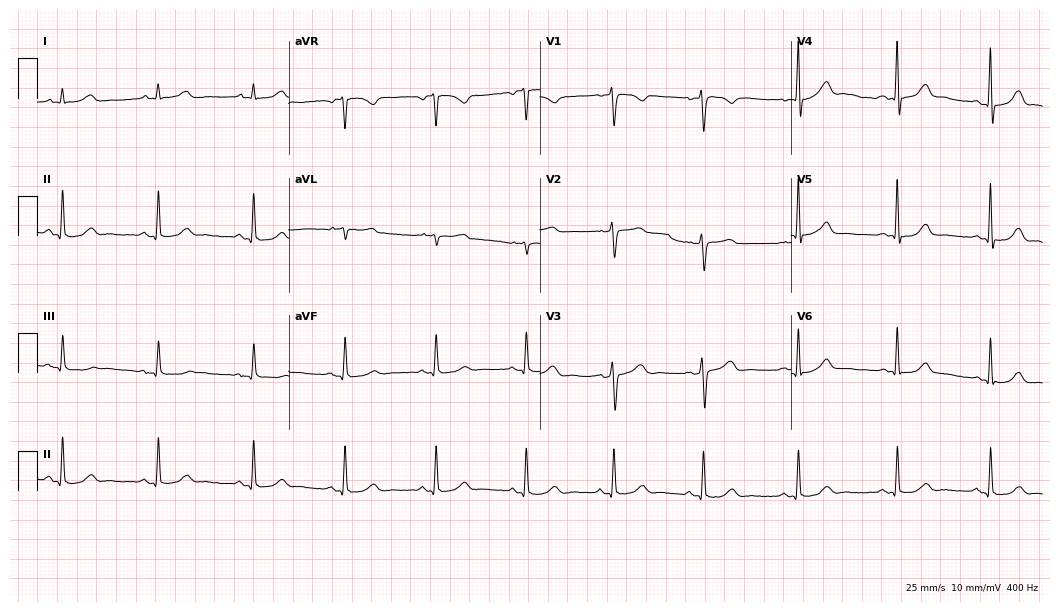
Resting 12-lead electrocardiogram (10.2-second recording at 400 Hz). Patient: a female, 43 years old. Read as a normal ECG.